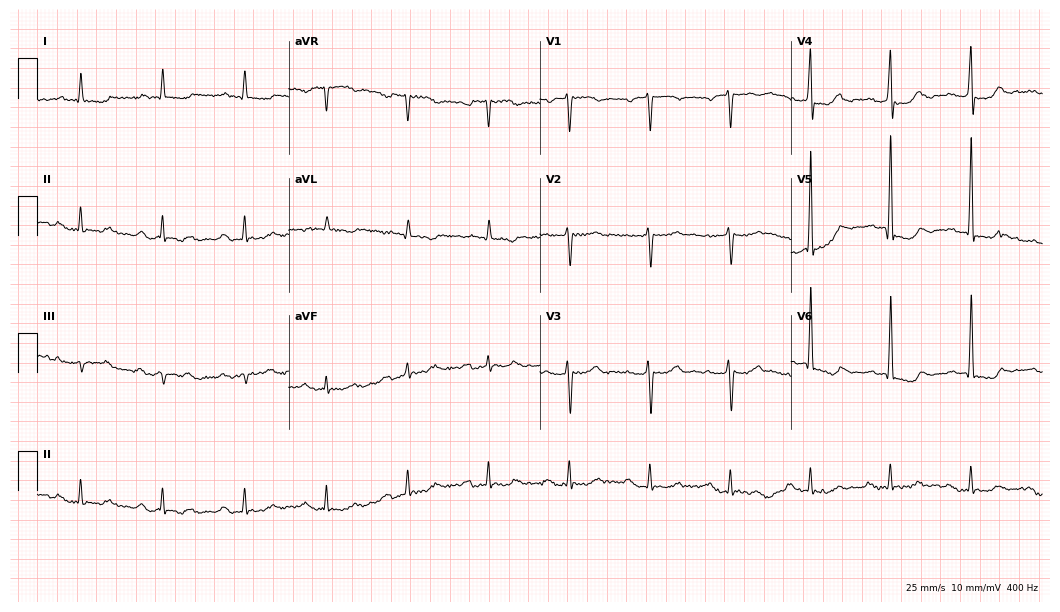
Resting 12-lead electrocardiogram (10.2-second recording at 400 Hz). Patient: a 78-year-old male. The tracing shows first-degree AV block.